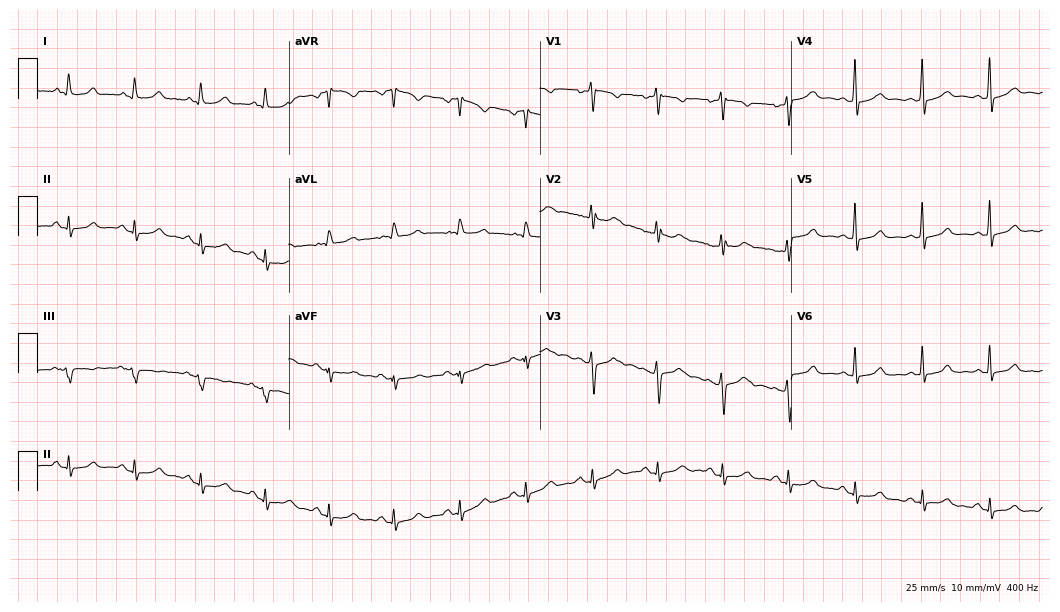
12-lead ECG from a female patient, 42 years old (10.2-second recording at 400 Hz). Recorded interpretation: within normal limits.